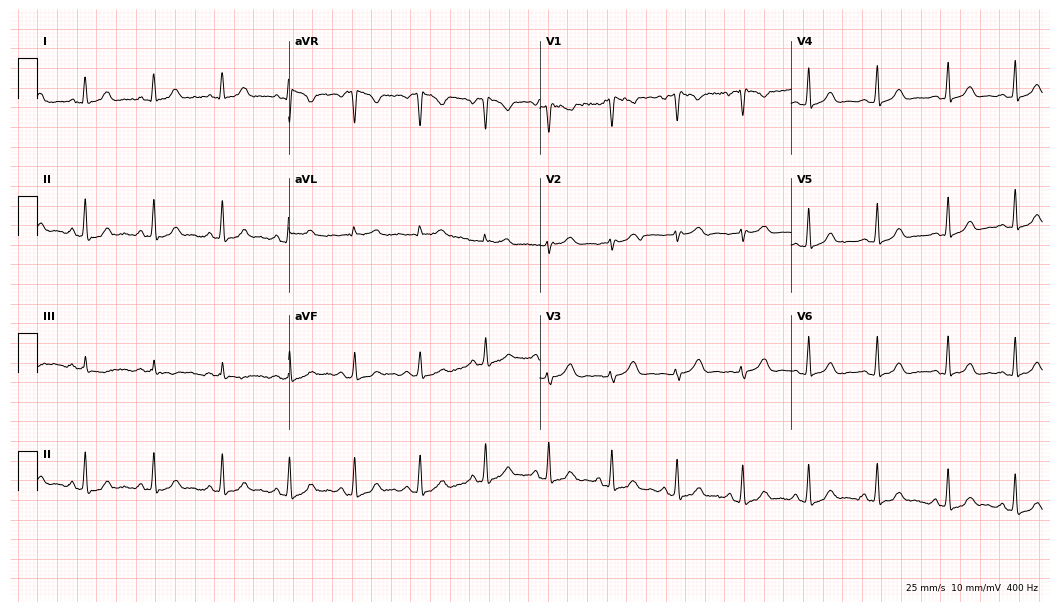
Resting 12-lead electrocardiogram. Patient: a female, 25 years old. Read as a normal ECG.